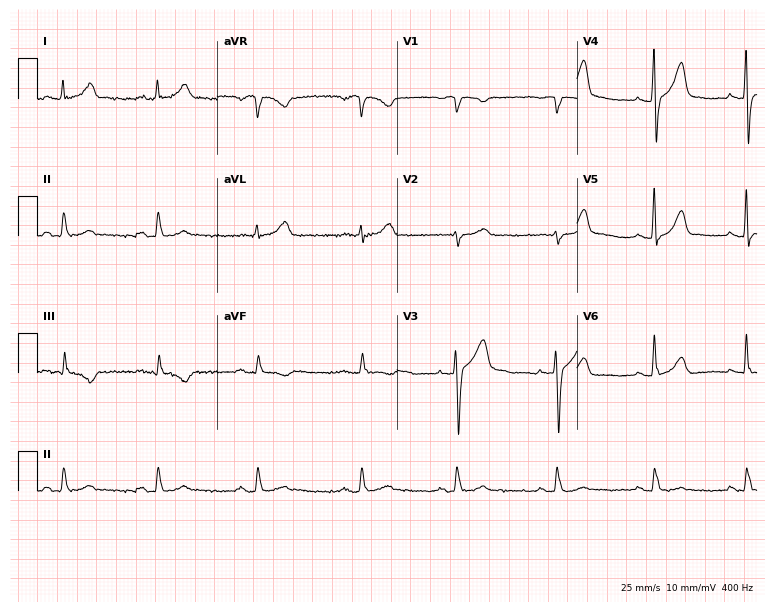
12-lead ECG from a 44-year-old man (7.3-second recording at 400 Hz). Recorded interpretation: within normal limits.